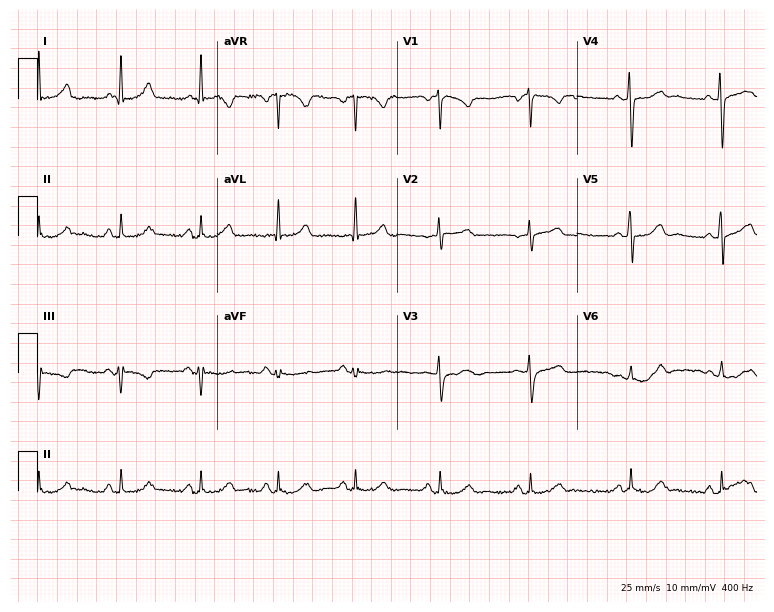
Resting 12-lead electrocardiogram. Patient: a 74-year-old woman. Read as a normal ECG.